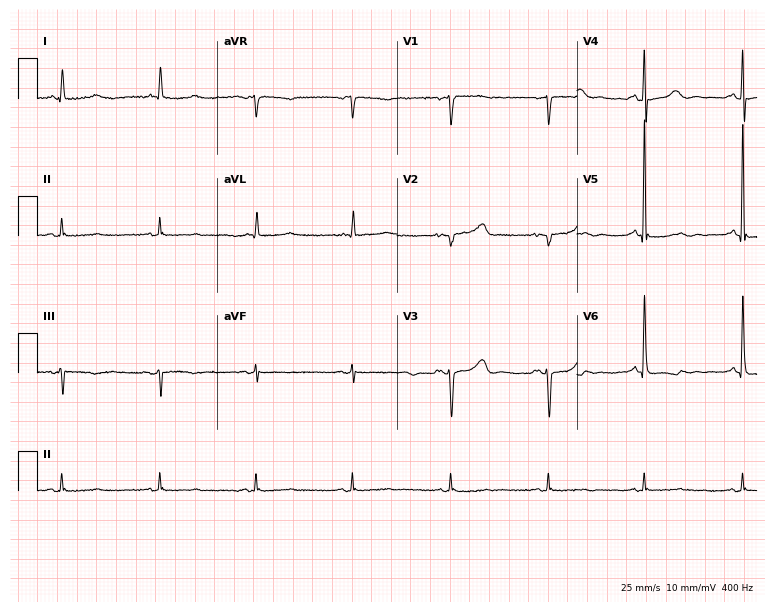
Resting 12-lead electrocardiogram (7.3-second recording at 400 Hz). Patient: a 73-year-old woman. None of these six findings is recorded: first-degree AV block, right bundle branch block (RBBB), left bundle branch block (LBBB), sinus bradycardia, atrial fibrillation (AF), sinus tachycardia. Findings outside these six are not listed.